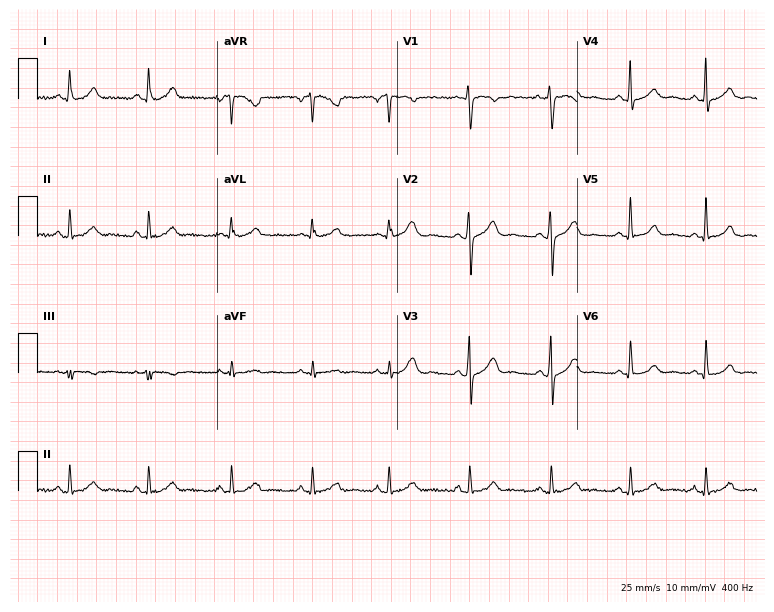
12-lead ECG (7.3-second recording at 400 Hz) from a woman, 33 years old. Screened for six findings — first-degree AV block, right bundle branch block (RBBB), left bundle branch block (LBBB), sinus bradycardia, atrial fibrillation (AF), sinus tachycardia — none is recorded.